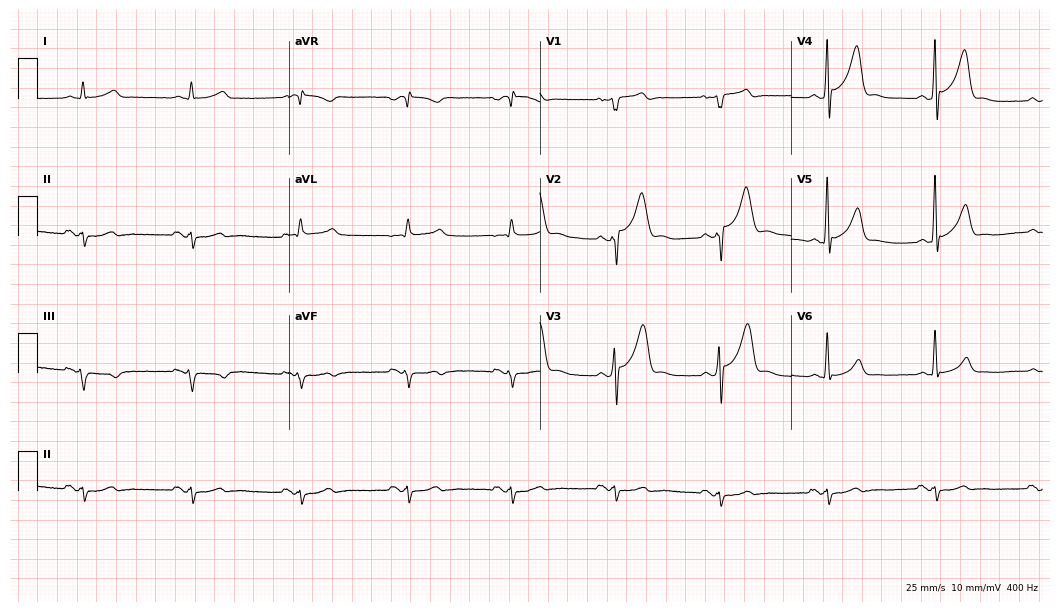
12-lead ECG from a male, 66 years old. No first-degree AV block, right bundle branch block (RBBB), left bundle branch block (LBBB), sinus bradycardia, atrial fibrillation (AF) or sinus tachycardia recorded for this tracing. Other findings, if any, are not listed.